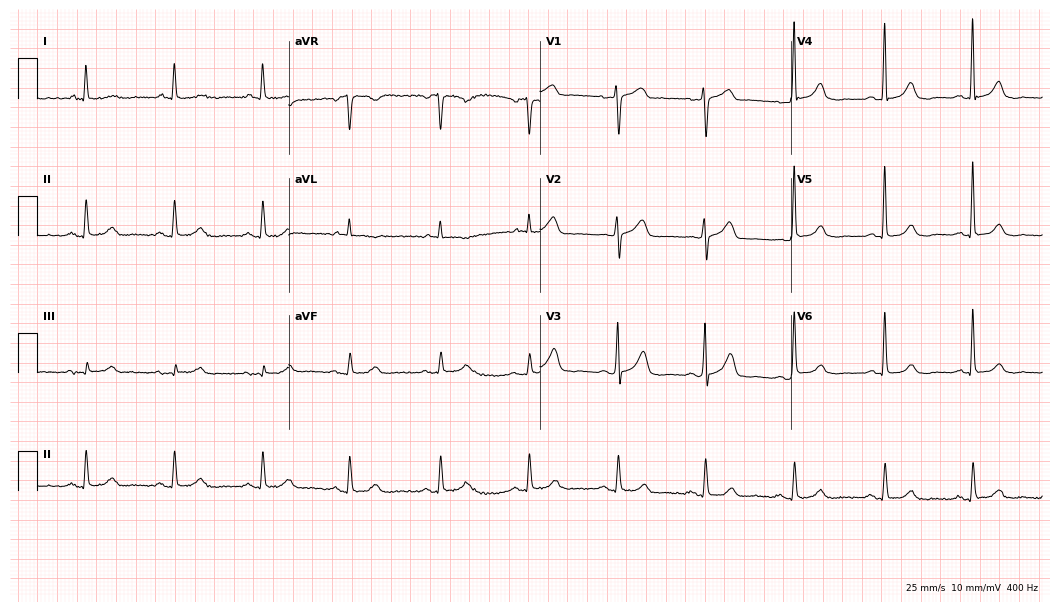
ECG (10.2-second recording at 400 Hz) — a 71-year-old female. Labelled as a normal ECG.